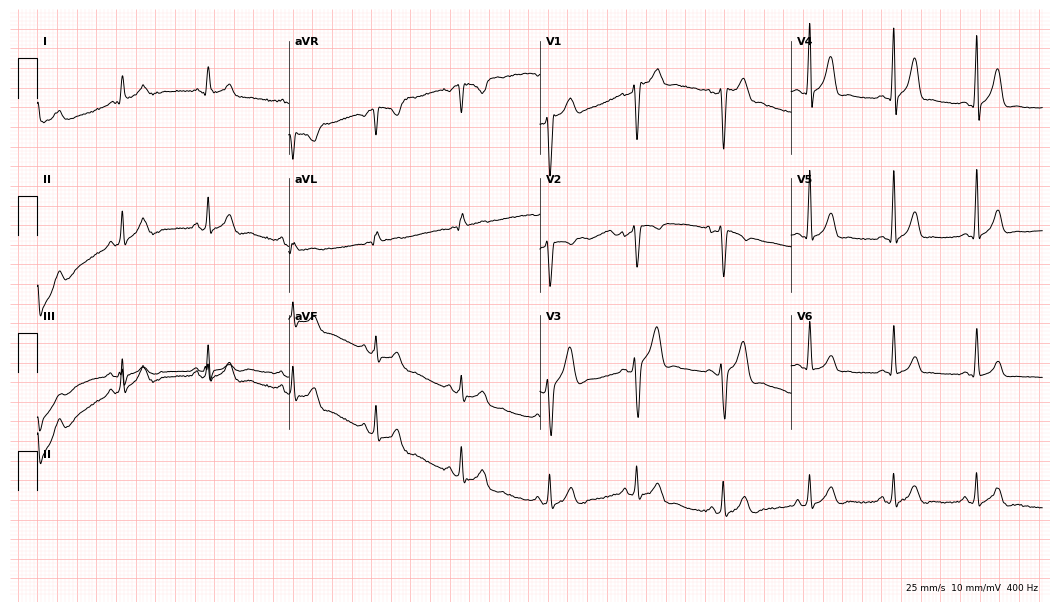
Standard 12-lead ECG recorded from a 25-year-old man. Read as a normal ECG.